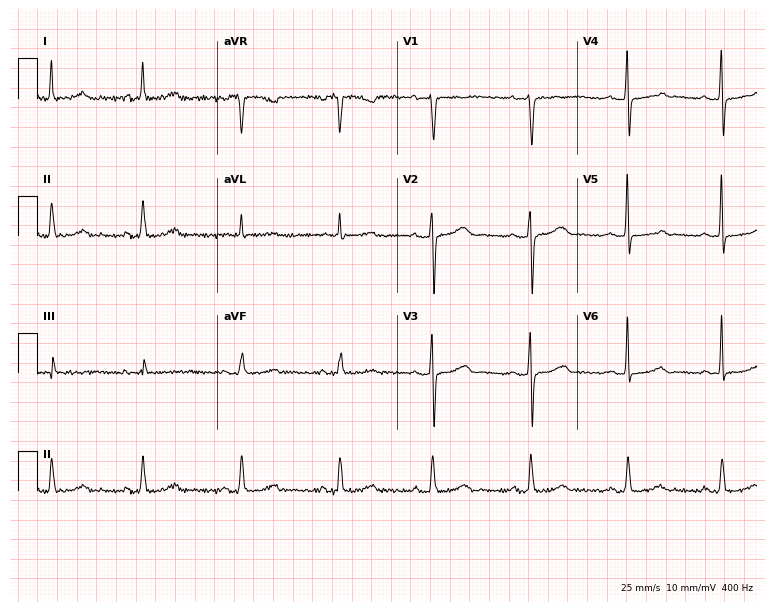
12-lead ECG from a female, 43 years old (7.3-second recording at 400 Hz). Recorded interpretation: within normal limits.